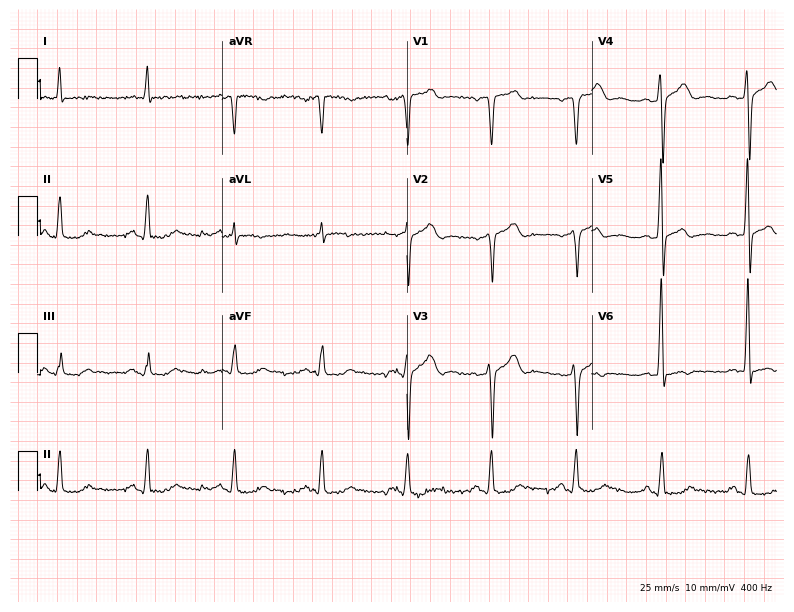
12-lead ECG from a male patient, 70 years old (7.5-second recording at 400 Hz). No first-degree AV block, right bundle branch block, left bundle branch block, sinus bradycardia, atrial fibrillation or sinus tachycardia recorded for this tracing.